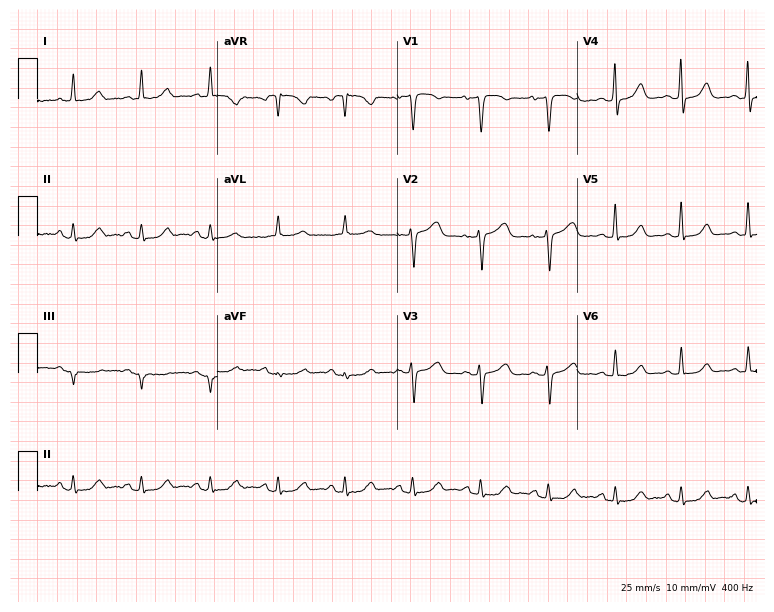
Standard 12-lead ECG recorded from a woman, 72 years old (7.3-second recording at 400 Hz). None of these six findings is recorded: first-degree AV block, right bundle branch block (RBBB), left bundle branch block (LBBB), sinus bradycardia, atrial fibrillation (AF), sinus tachycardia.